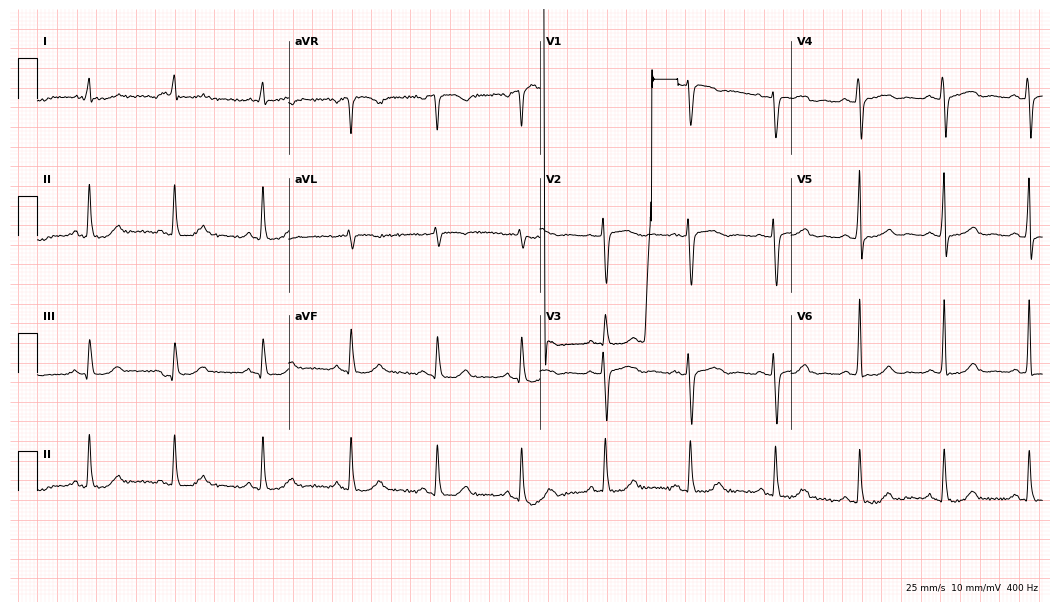
ECG (10.2-second recording at 400 Hz) — a female, 76 years old. Screened for six findings — first-degree AV block, right bundle branch block, left bundle branch block, sinus bradycardia, atrial fibrillation, sinus tachycardia — none is recorded. Other findings, if any, are not listed.